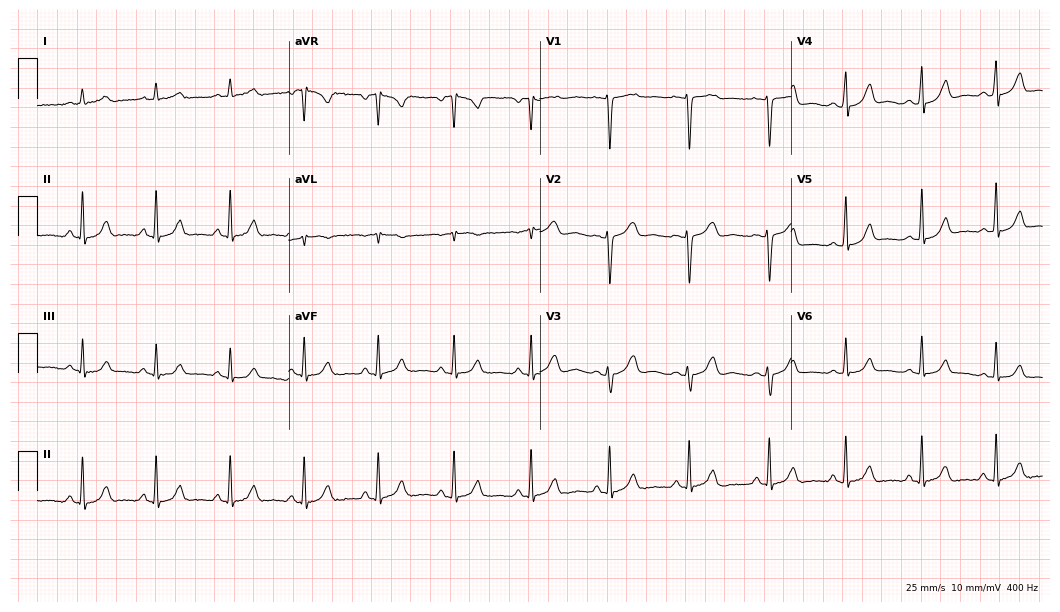
ECG (10.2-second recording at 400 Hz) — a female, 39 years old. Labelled as a normal ECG.